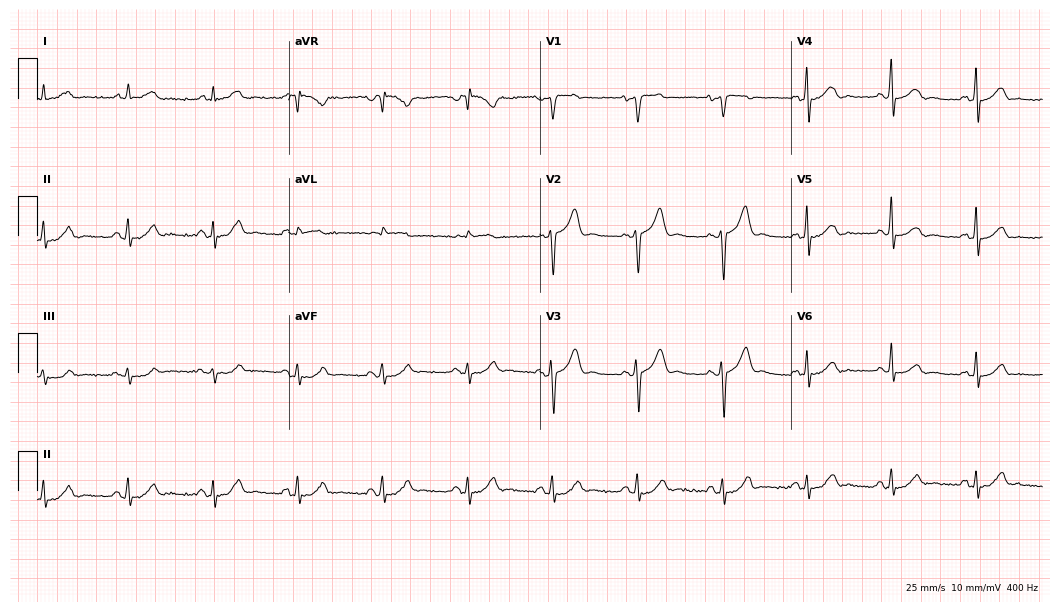
Resting 12-lead electrocardiogram (10.2-second recording at 400 Hz). Patient: a 57-year-old male. Read as a normal ECG.